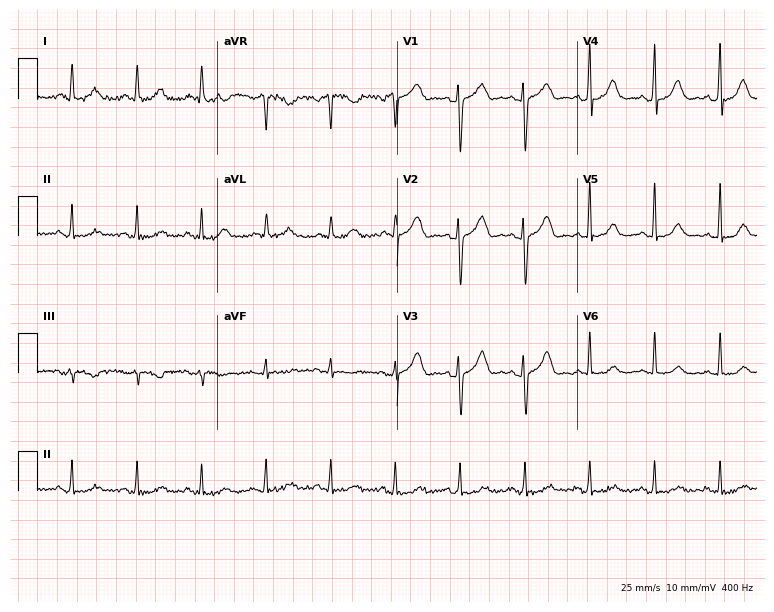
Electrocardiogram (7.3-second recording at 400 Hz), a 50-year-old male. Overall reading on record: normal ECG.